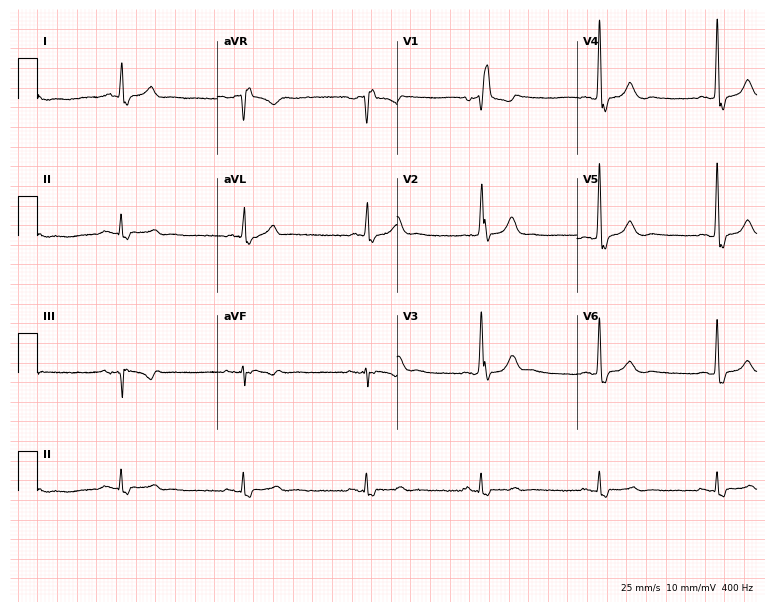
Standard 12-lead ECG recorded from a male, 64 years old (7.3-second recording at 400 Hz). The tracing shows right bundle branch block (RBBB), sinus bradycardia (a sinus rate of 50 beats per minute or less).